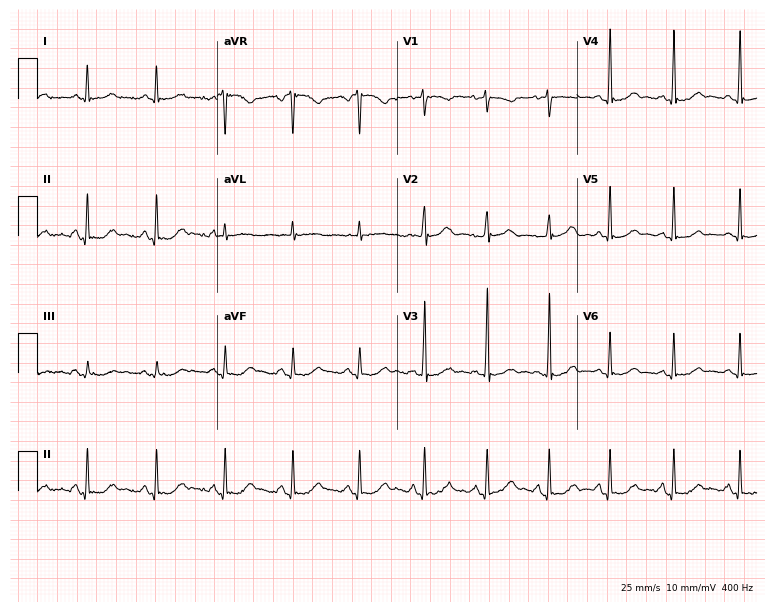
Electrocardiogram (7.3-second recording at 400 Hz), a female patient, 42 years old. Of the six screened findings (first-degree AV block, right bundle branch block, left bundle branch block, sinus bradycardia, atrial fibrillation, sinus tachycardia), none is recorded. Findings outside these six are not listed.